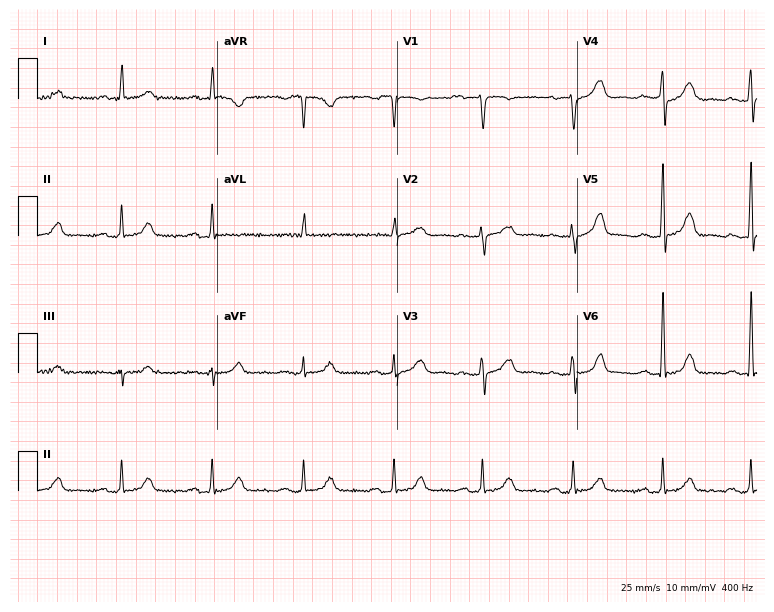
Resting 12-lead electrocardiogram (7.3-second recording at 400 Hz). Patient: a woman, 77 years old. None of these six findings is recorded: first-degree AV block, right bundle branch block, left bundle branch block, sinus bradycardia, atrial fibrillation, sinus tachycardia.